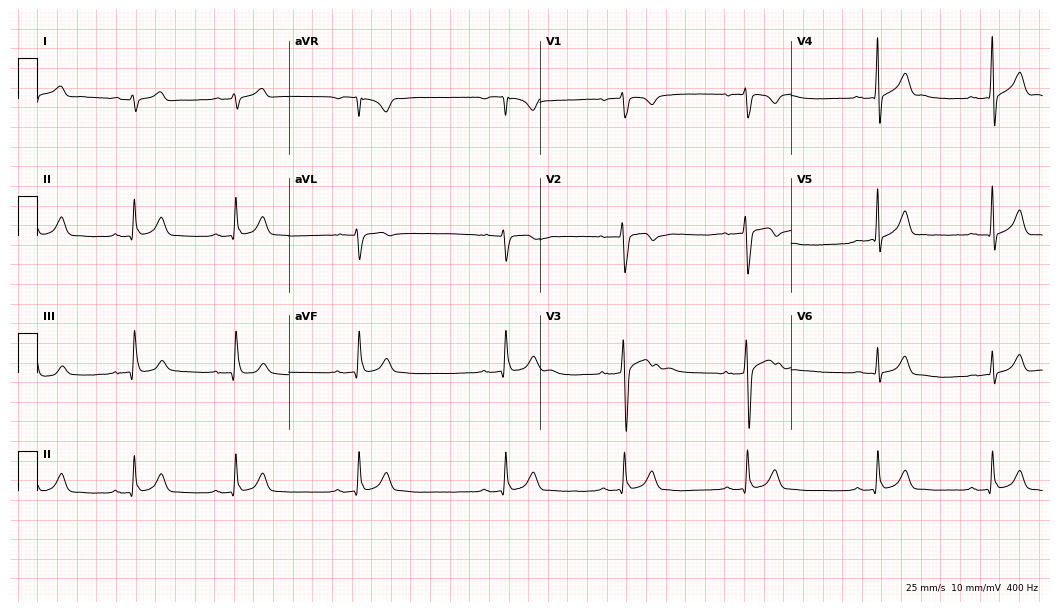
Resting 12-lead electrocardiogram (10.2-second recording at 400 Hz). Patient: a 29-year-old male. None of these six findings is recorded: first-degree AV block, right bundle branch block (RBBB), left bundle branch block (LBBB), sinus bradycardia, atrial fibrillation (AF), sinus tachycardia.